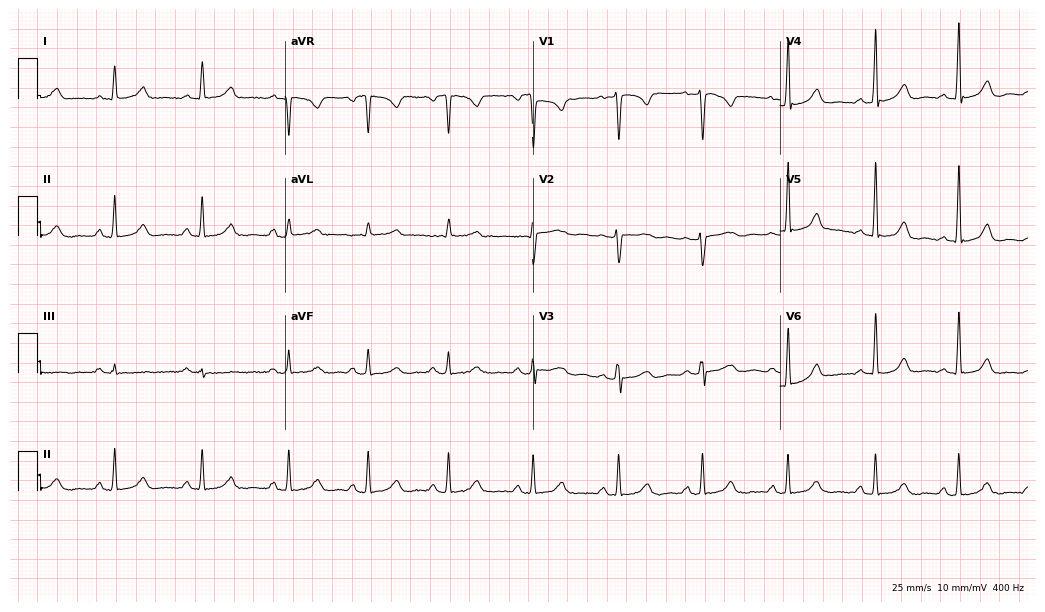
12-lead ECG from a 35-year-old female (10.1-second recording at 400 Hz). Recorded interpretation: within normal limits.